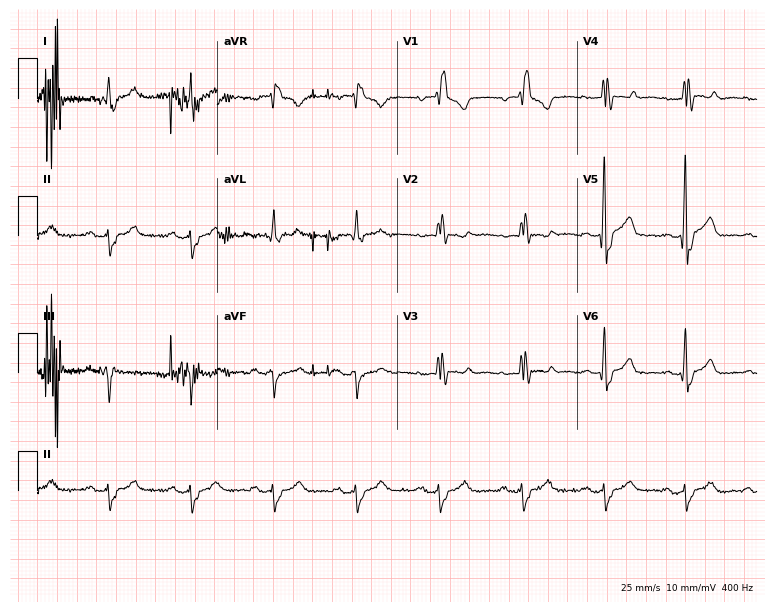
12-lead ECG from a 59-year-old female. No first-degree AV block, right bundle branch block (RBBB), left bundle branch block (LBBB), sinus bradycardia, atrial fibrillation (AF) or sinus tachycardia recorded for this tracing.